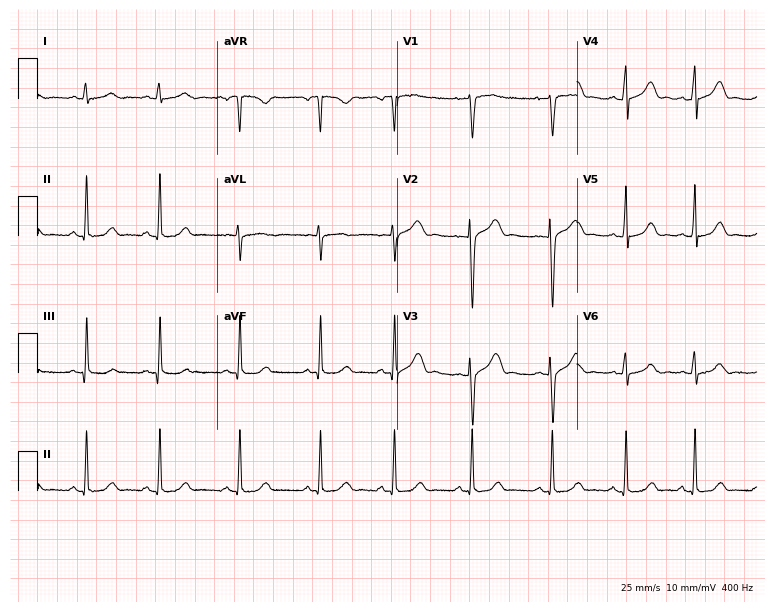
Standard 12-lead ECG recorded from a female patient, 26 years old. Read as a normal ECG.